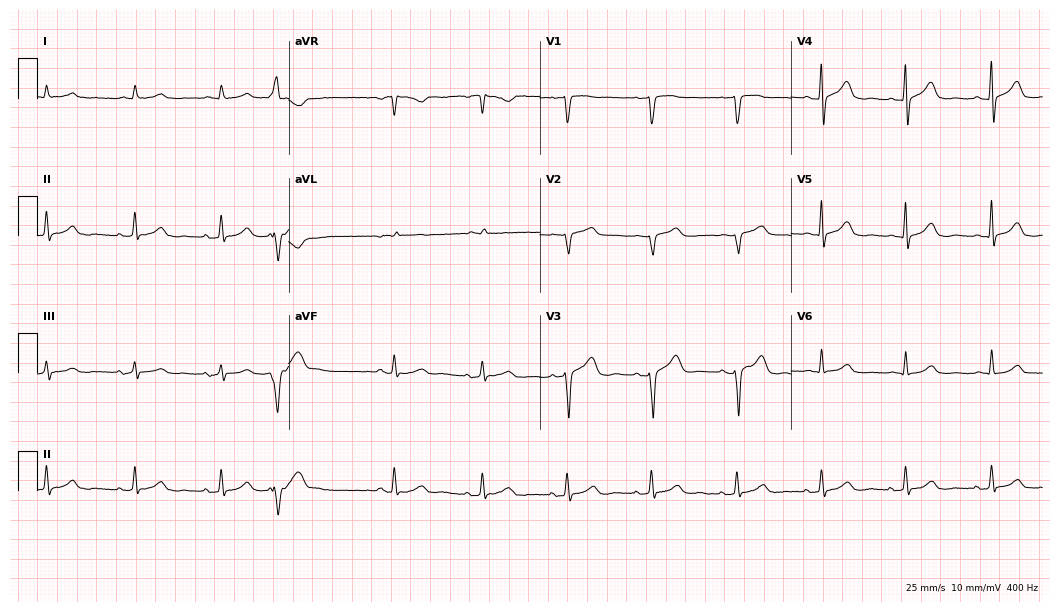
Standard 12-lead ECG recorded from a man, 74 years old. None of these six findings is recorded: first-degree AV block, right bundle branch block, left bundle branch block, sinus bradycardia, atrial fibrillation, sinus tachycardia. Findings outside these six are not listed.